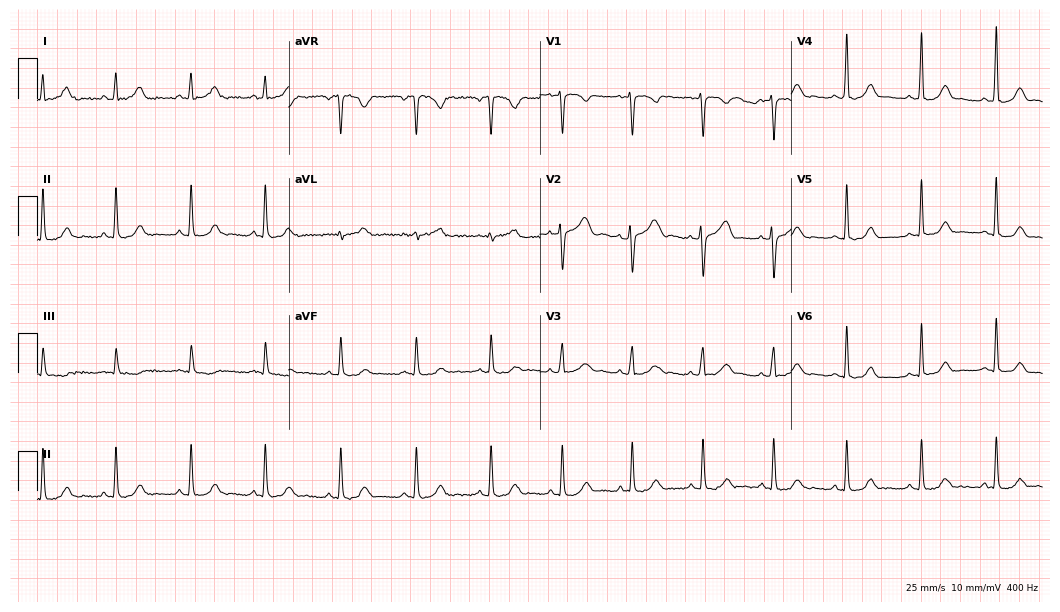
Electrocardiogram (10.2-second recording at 400 Hz), a female, 24 years old. Of the six screened findings (first-degree AV block, right bundle branch block, left bundle branch block, sinus bradycardia, atrial fibrillation, sinus tachycardia), none is recorded.